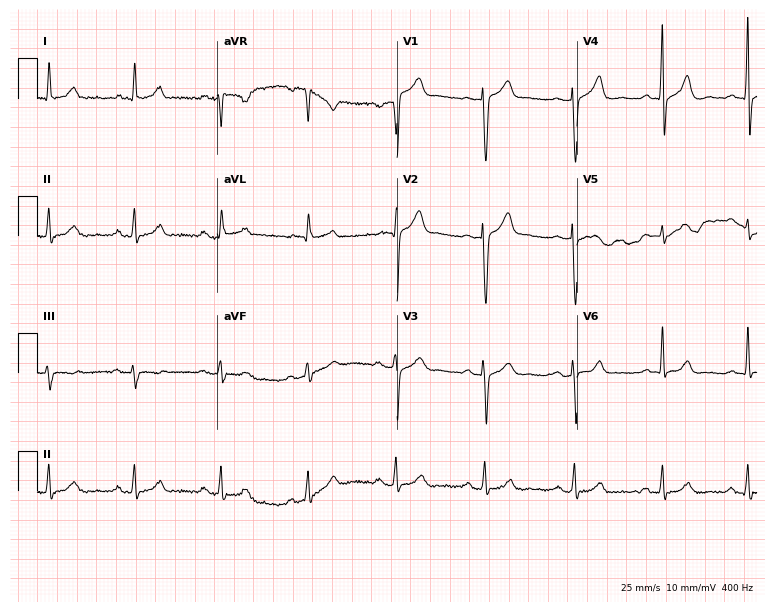
Resting 12-lead electrocardiogram. Patient: a 60-year-old man. Read as a normal ECG.